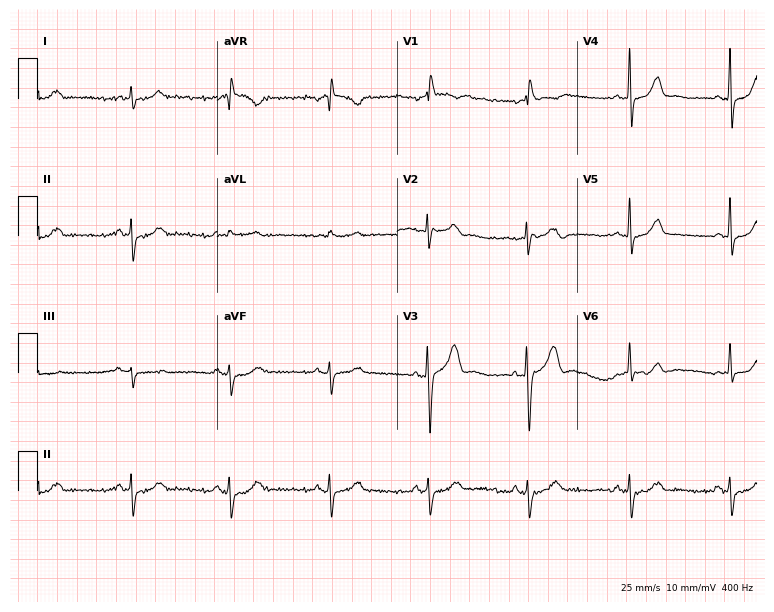
Resting 12-lead electrocardiogram. Patient: a male, 53 years old. None of these six findings is recorded: first-degree AV block, right bundle branch block, left bundle branch block, sinus bradycardia, atrial fibrillation, sinus tachycardia. Findings outside these six are not listed.